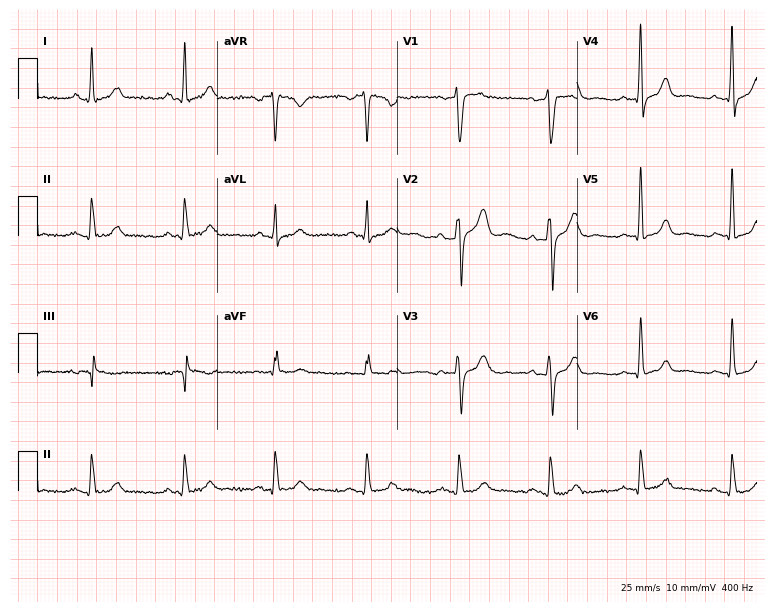
12-lead ECG from a 48-year-old man (7.3-second recording at 400 Hz). No first-degree AV block, right bundle branch block (RBBB), left bundle branch block (LBBB), sinus bradycardia, atrial fibrillation (AF) or sinus tachycardia recorded for this tracing.